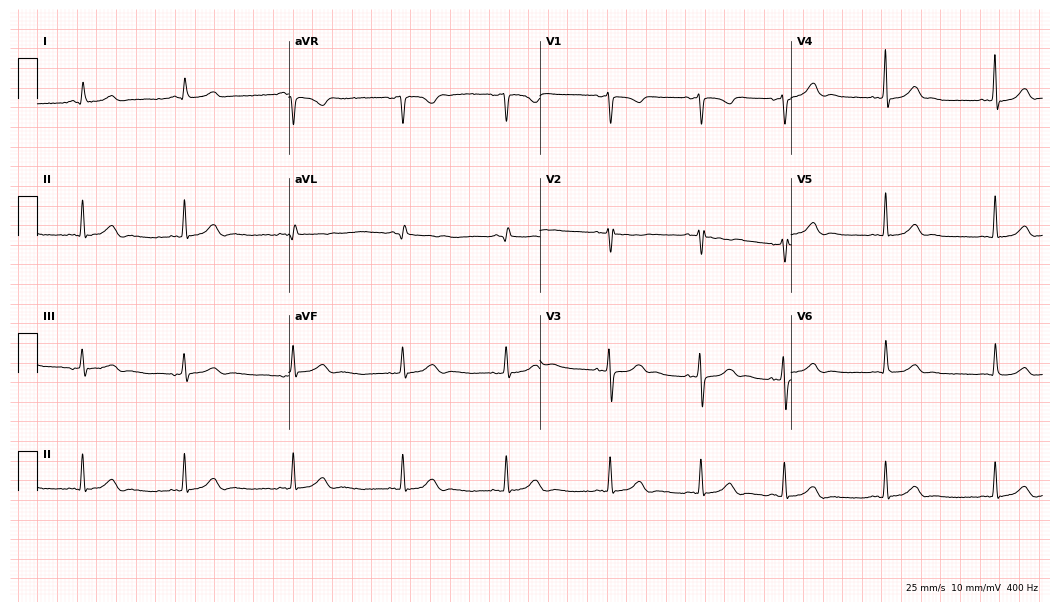
ECG — a female patient, 46 years old. Labelled as a normal ECG.